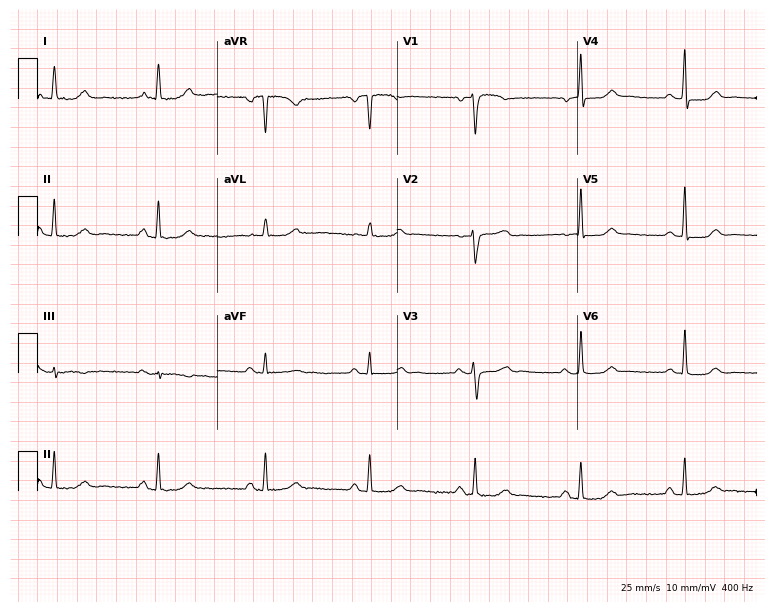
Electrocardiogram, a 47-year-old female. Of the six screened findings (first-degree AV block, right bundle branch block, left bundle branch block, sinus bradycardia, atrial fibrillation, sinus tachycardia), none is recorded.